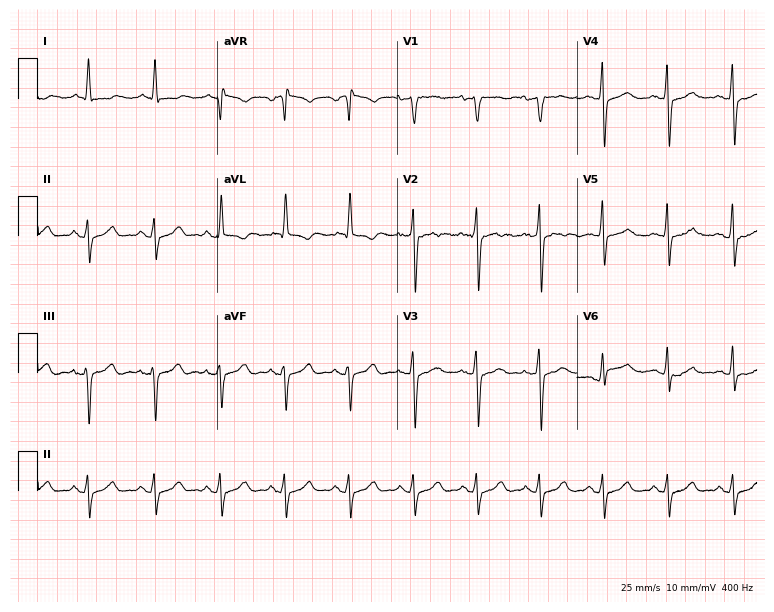
Electrocardiogram, a male patient, 62 years old. Of the six screened findings (first-degree AV block, right bundle branch block, left bundle branch block, sinus bradycardia, atrial fibrillation, sinus tachycardia), none is recorded. Findings outside these six are not listed.